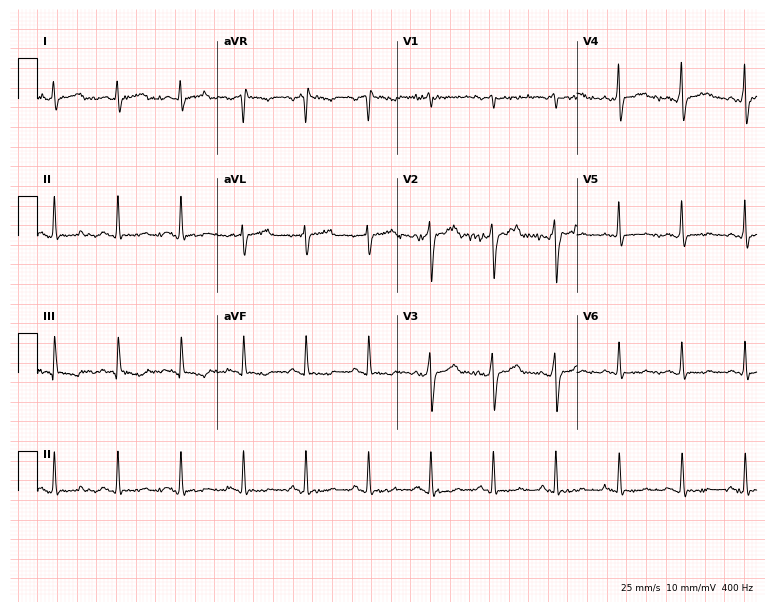
Resting 12-lead electrocardiogram (7.3-second recording at 400 Hz). Patient: a 38-year-old man. None of these six findings is recorded: first-degree AV block, right bundle branch block (RBBB), left bundle branch block (LBBB), sinus bradycardia, atrial fibrillation (AF), sinus tachycardia.